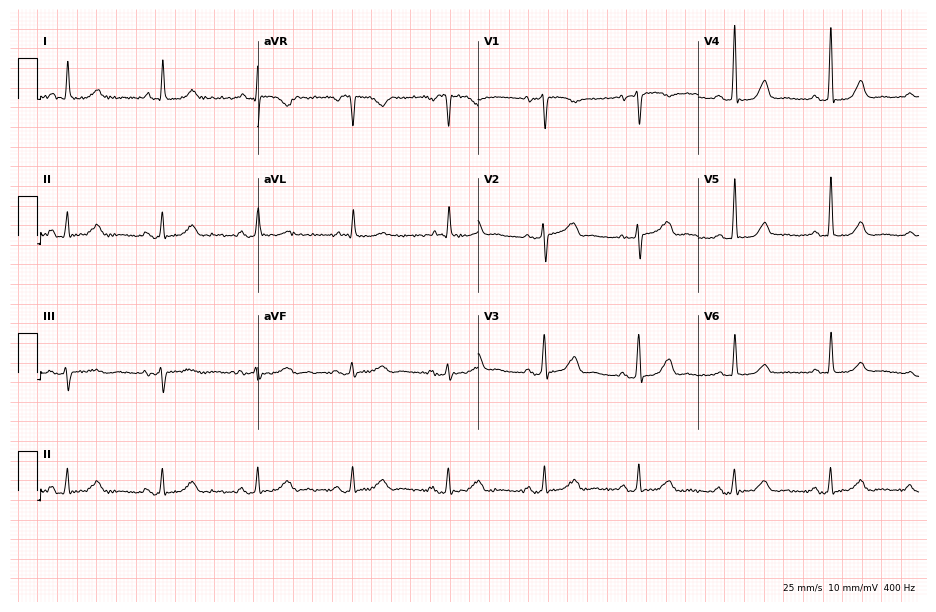
12-lead ECG from a female patient, 71 years old. Recorded interpretation: within normal limits.